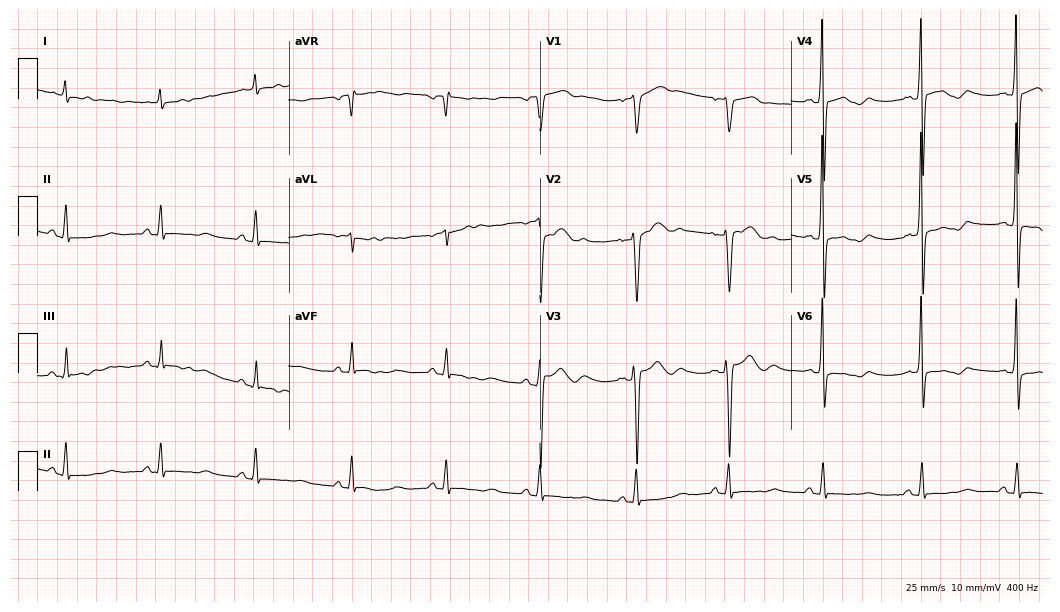
Resting 12-lead electrocardiogram. Patient: a male, 47 years old. None of these six findings is recorded: first-degree AV block, right bundle branch block, left bundle branch block, sinus bradycardia, atrial fibrillation, sinus tachycardia. Findings outside these six are not listed.